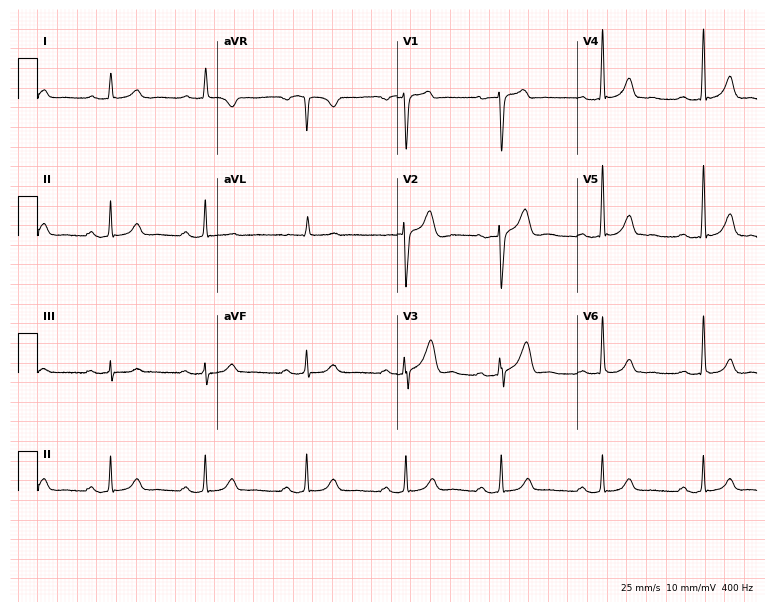
Standard 12-lead ECG recorded from a male patient, 50 years old. The tracing shows first-degree AV block.